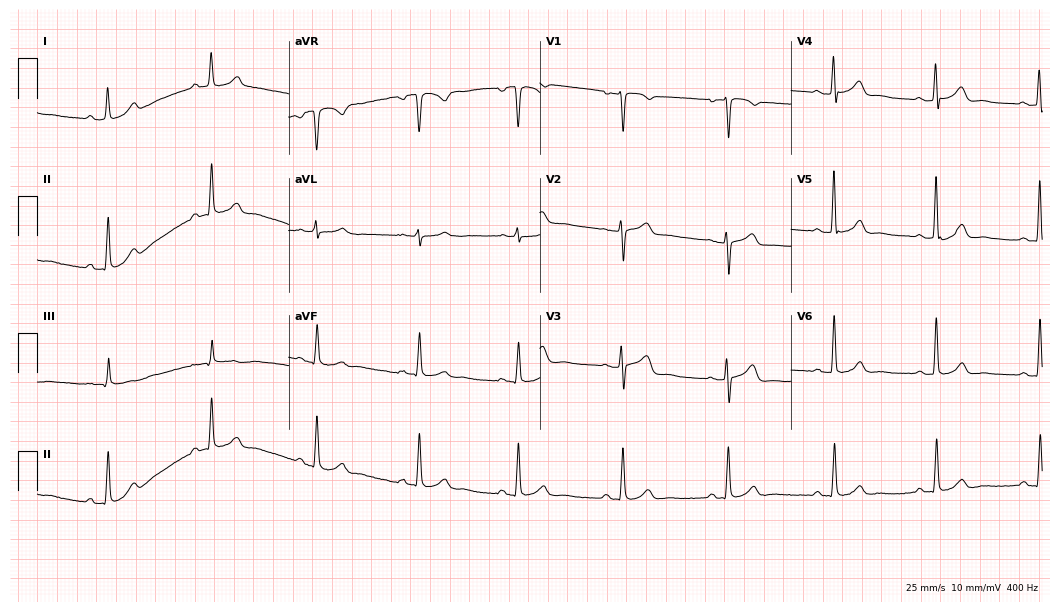
ECG (10.2-second recording at 400 Hz) — a 46-year-old woman. Screened for six findings — first-degree AV block, right bundle branch block, left bundle branch block, sinus bradycardia, atrial fibrillation, sinus tachycardia — none is recorded. Other findings, if any, are not listed.